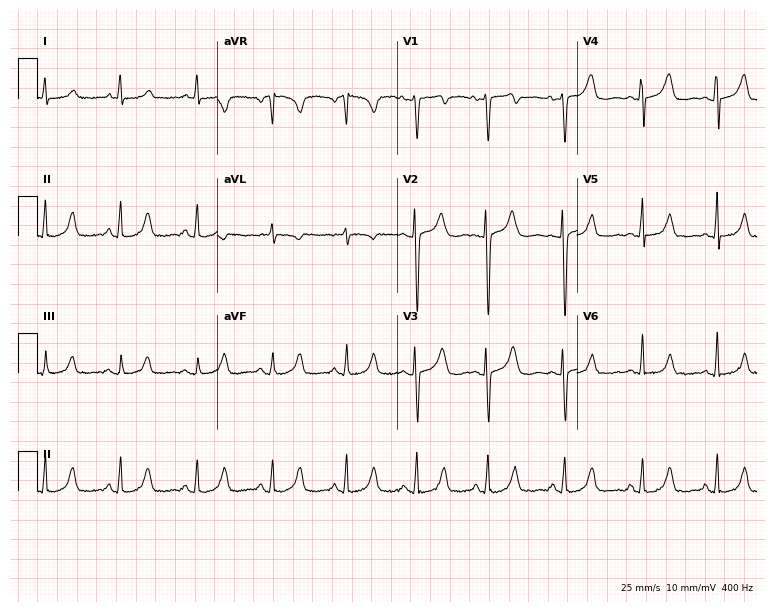
Resting 12-lead electrocardiogram. Patient: a 26-year-old female. Read as a normal ECG.